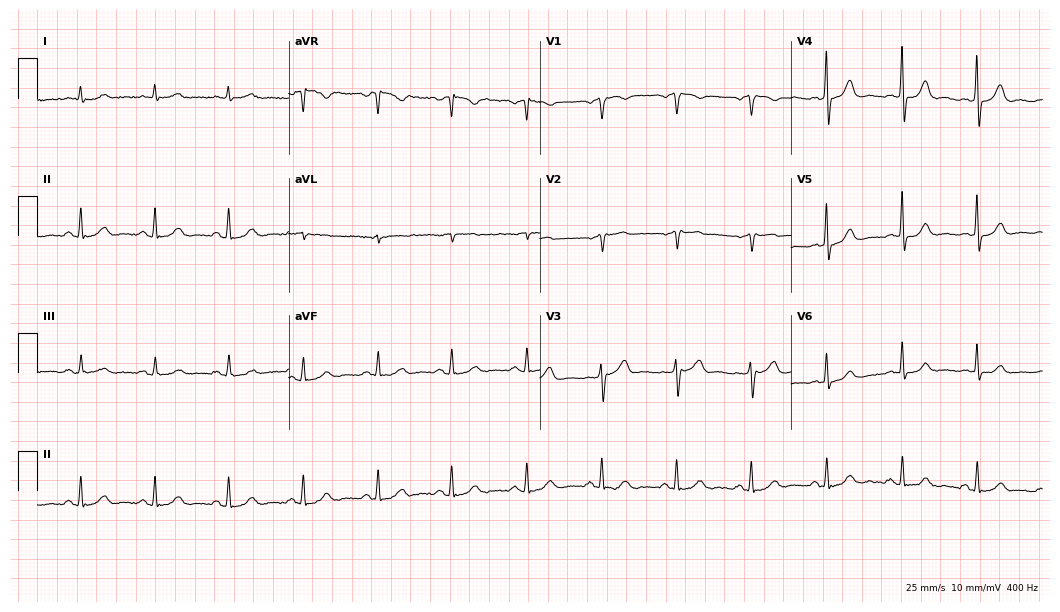
ECG (10.2-second recording at 400 Hz) — a man, 81 years old. Labelled as a normal ECG.